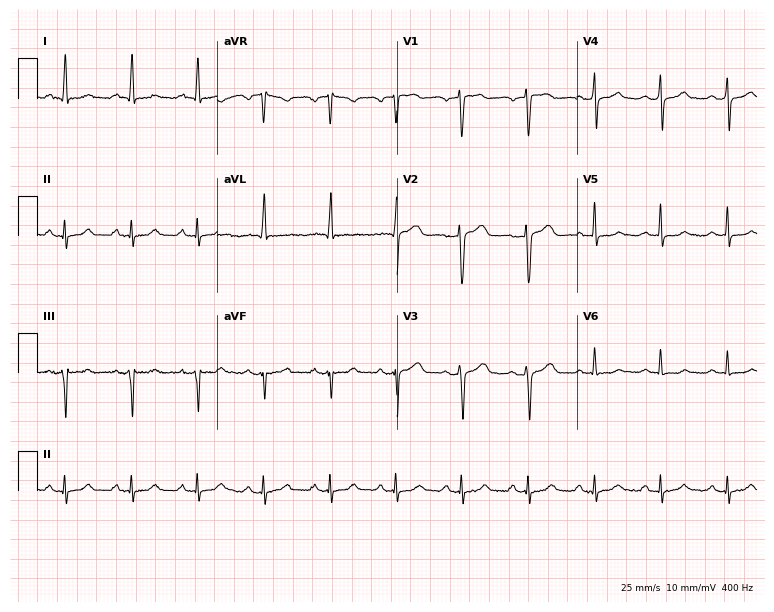
12-lead ECG from a 60-year-old female patient (7.3-second recording at 400 Hz). Recorded interpretation: within normal limits.